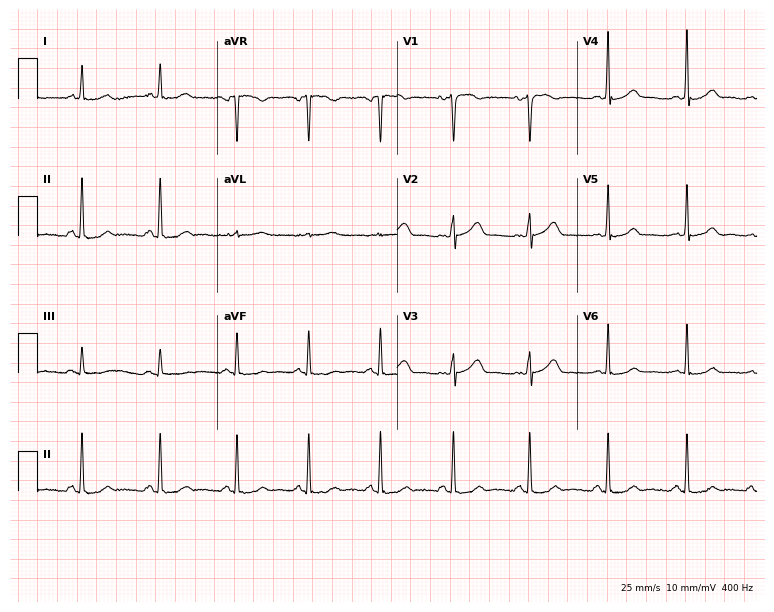
ECG (7.3-second recording at 400 Hz) — a 44-year-old female patient. Screened for six findings — first-degree AV block, right bundle branch block (RBBB), left bundle branch block (LBBB), sinus bradycardia, atrial fibrillation (AF), sinus tachycardia — none is recorded.